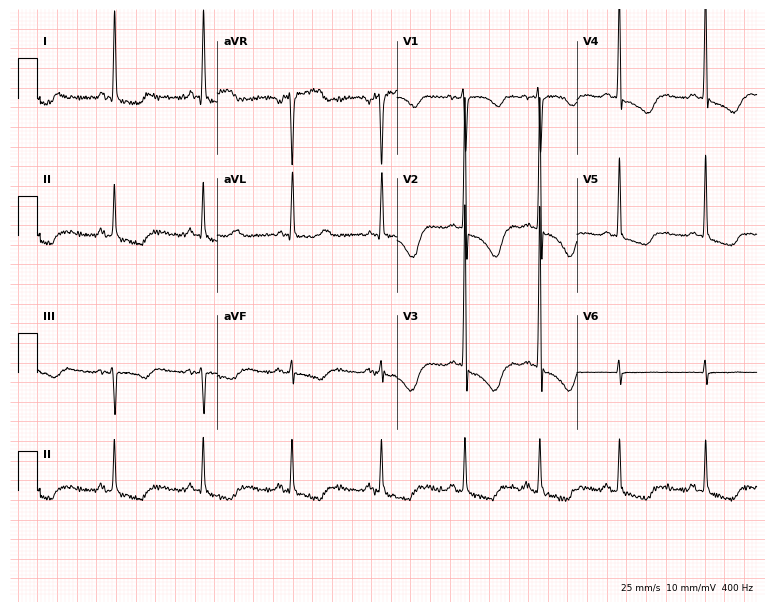
12-lead ECG from a 70-year-old woman (7.3-second recording at 400 Hz). No first-degree AV block, right bundle branch block (RBBB), left bundle branch block (LBBB), sinus bradycardia, atrial fibrillation (AF) or sinus tachycardia recorded for this tracing.